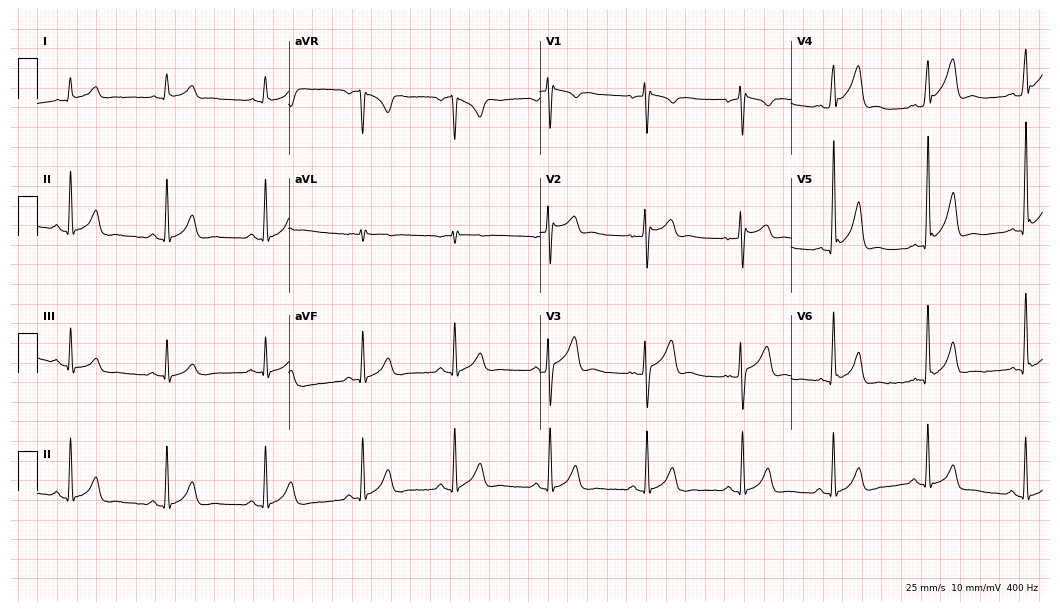
12-lead ECG (10.2-second recording at 400 Hz) from a 39-year-old male. Screened for six findings — first-degree AV block, right bundle branch block (RBBB), left bundle branch block (LBBB), sinus bradycardia, atrial fibrillation (AF), sinus tachycardia — none is recorded. Findings outside these six are not listed.